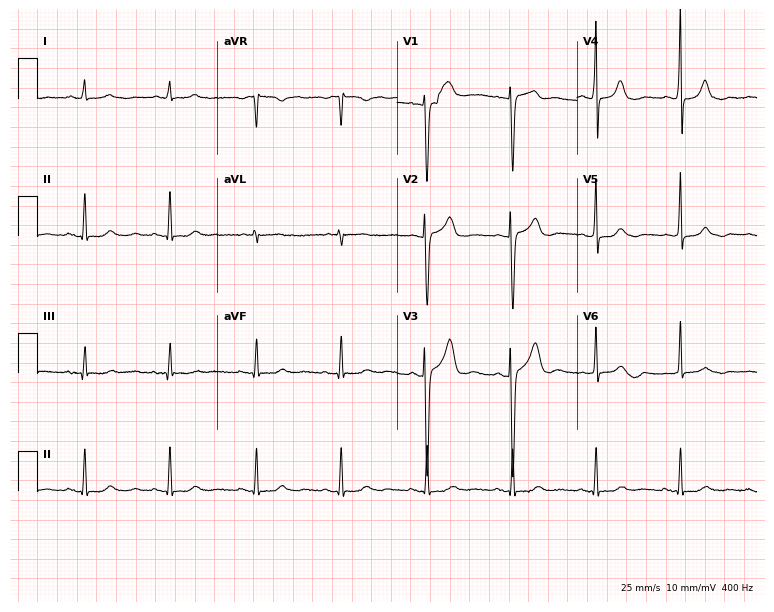
12-lead ECG from a 45-year-old woman (7.3-second recording at 400 Hz). No first-degree AV block, right bundle branch block (RBBB), left bundle branch block (LBBB), sinus bradycardia, atrial fibrillation (AF) or sinus tachycardia recorded for this tracing. Other findings, if any, are not listed.